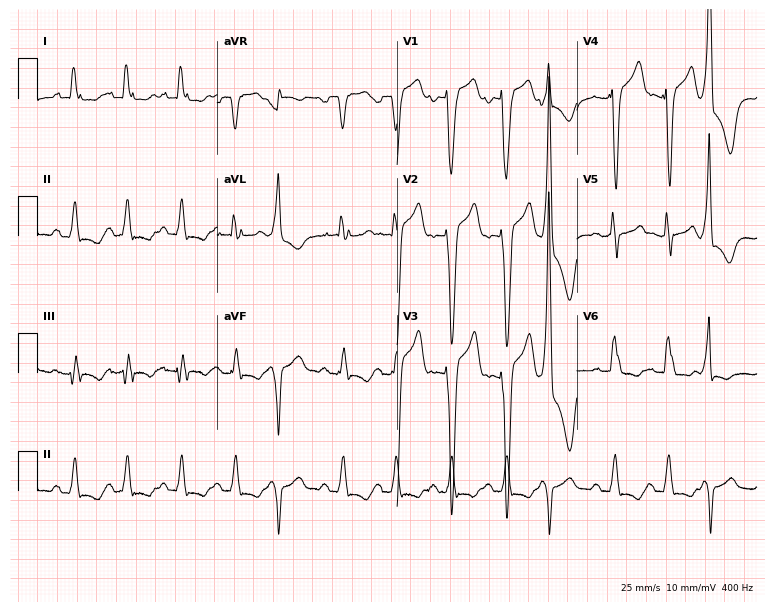
12-lead ECG from a 65-year-old man (7.3-second recording at 400 Hz). Shows left bundle branch block, sinus tachycardia (a sinus rate of 100 beats per minute or more).